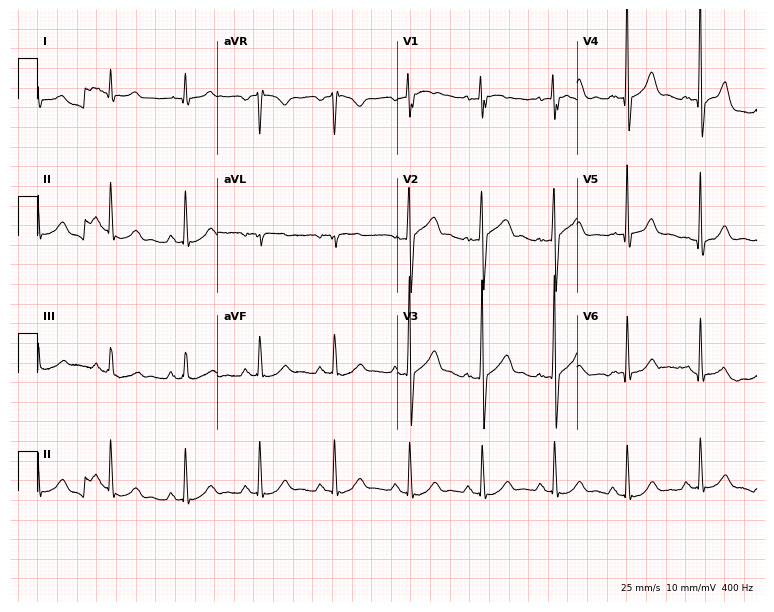
Electrocardiogram, a 57-year-old male. Of the six screened findings (first-degree AV block, right bundle branch block, left bundle branch block, sinus bradycardia, atrial fibrillation, sinus tachycardia), none is recorded. Other findings, if any, are not listed.